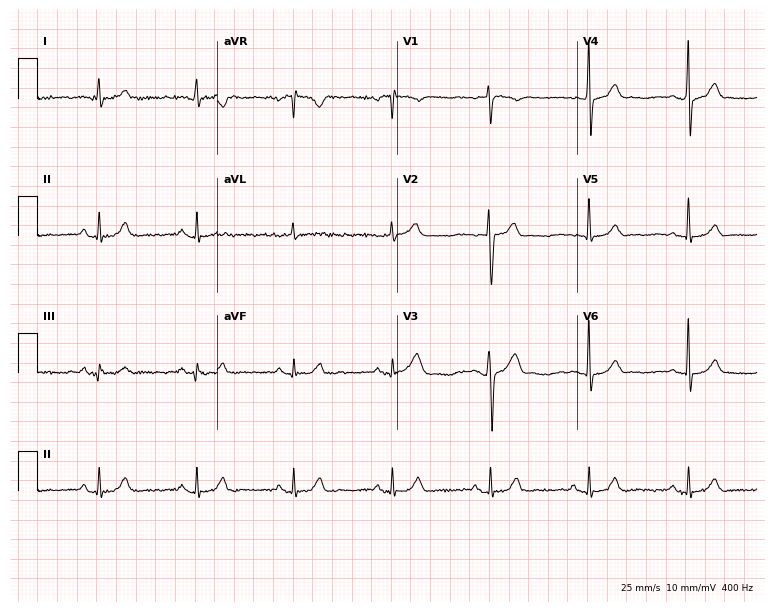
12-lead ECG (7.3-second recording at 400 Hz) from a male, 45 years old. Labelled as a normal ECG.